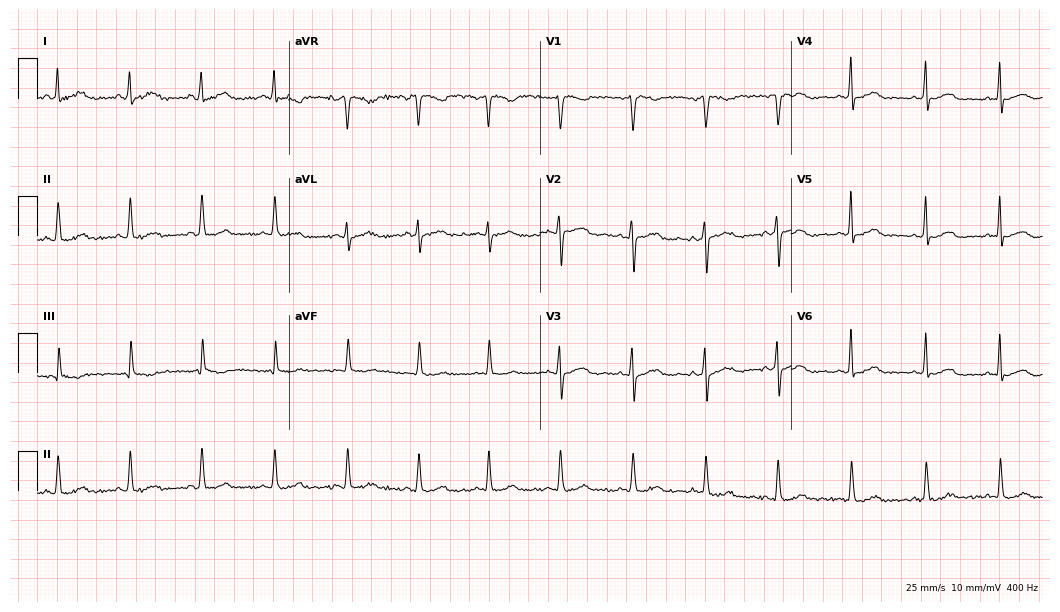
12-lead ECG from a 62-year-old female. Labelled as a normal ECG.